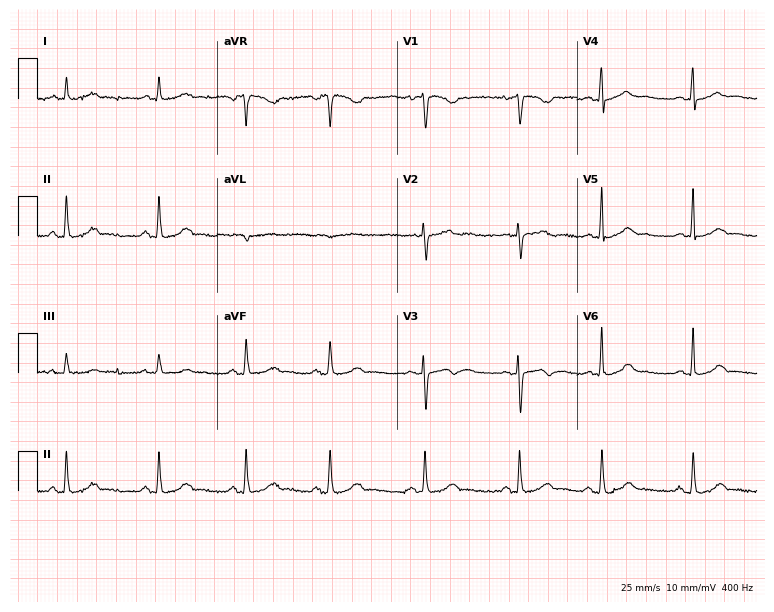
Electrocardiogram, a female patient, 32 years old. Of the six screened findings (first-degree AV block, right bundle branch block, left bundle branch block, sinus bradycardia, atrial fibrillation, sinus tachycardia), none is recorded.